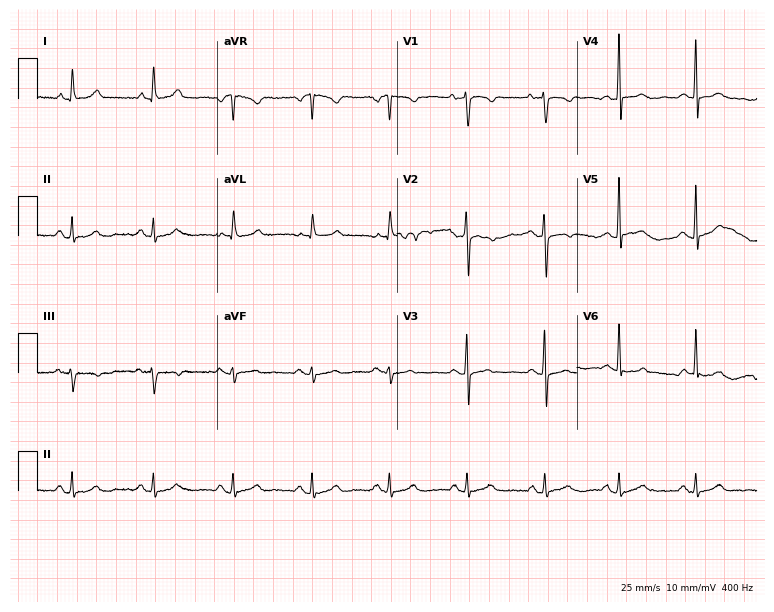
Electrocardiogram, a female patient, 55 years old. Overall reading on record: normal ECG.